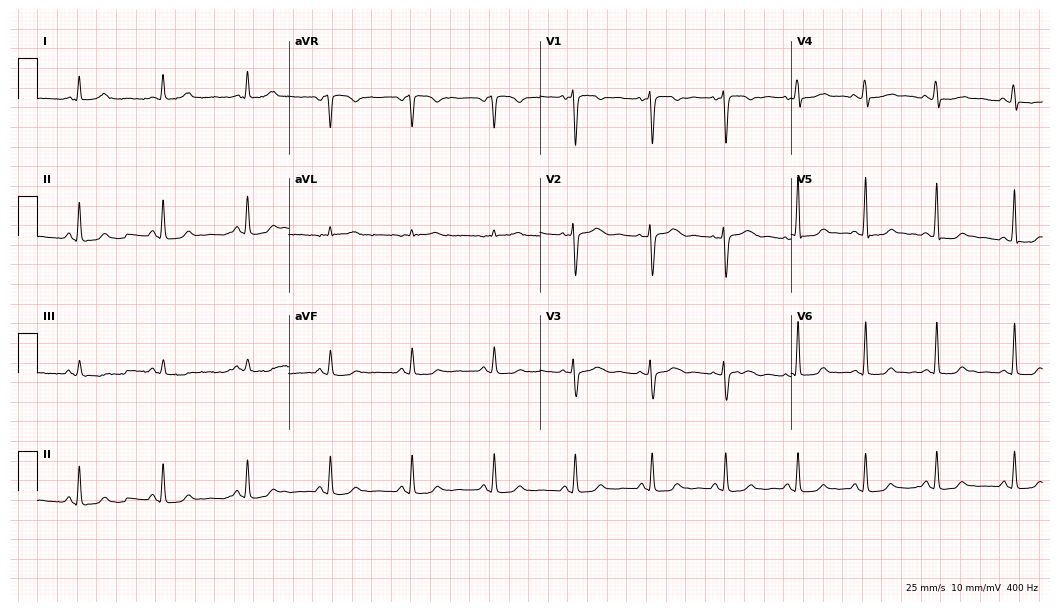
Standard 12-lead ECG recorded from a woman, 49 years old. None of these six findings is recorded: first-degree AV block, right bundle branch block, left bundle branch block, sinus bradycardia, atrial fibrillation, sinus tachycardia. Other findings, if any, are not listed.